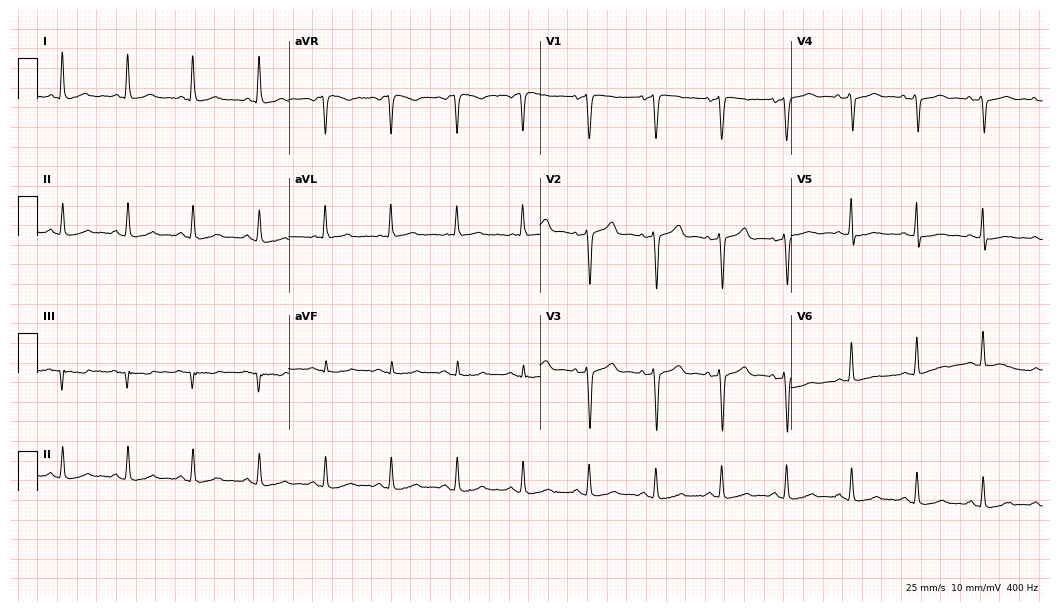
12-lead ECG (10.2-second recording at 400 Hz) from a female, 53 years old. Screened for six findings — first-degree AV block, right bundle branch block, left bundle branch block, sinus bradycardia, atrial fibrillation, sinus tachycardia — none is recorded.